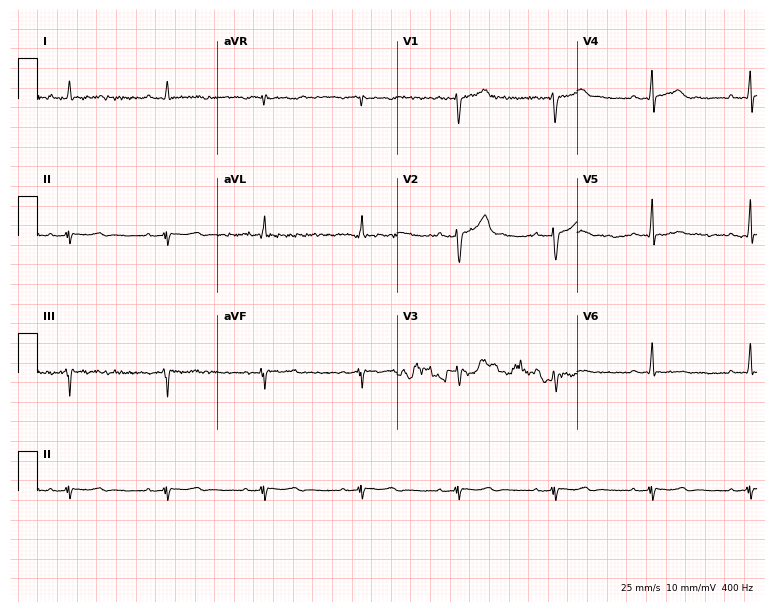
Electrocardiogram (7.3-second recording at 400 Hz), a male, 46 years old. Of the six screened findings (first-degree AV block, right bundle branch block, left bundle branch block, sinus bradycardia, atrial fibrillation, sinus tachycardia), none is recorded.